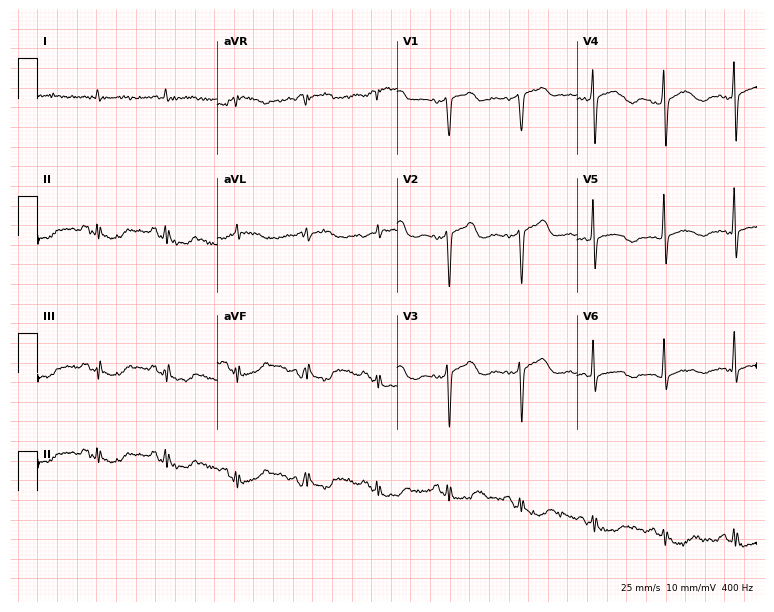
Resting 12-lead electrocardiogram. Patient: a 67-year-old man. None of these six findings is recorded: first-degree AV block, right bundle branch block, left bundle branch block, sinus bradycardia, atrial fibrillation, sinus tachycardia.